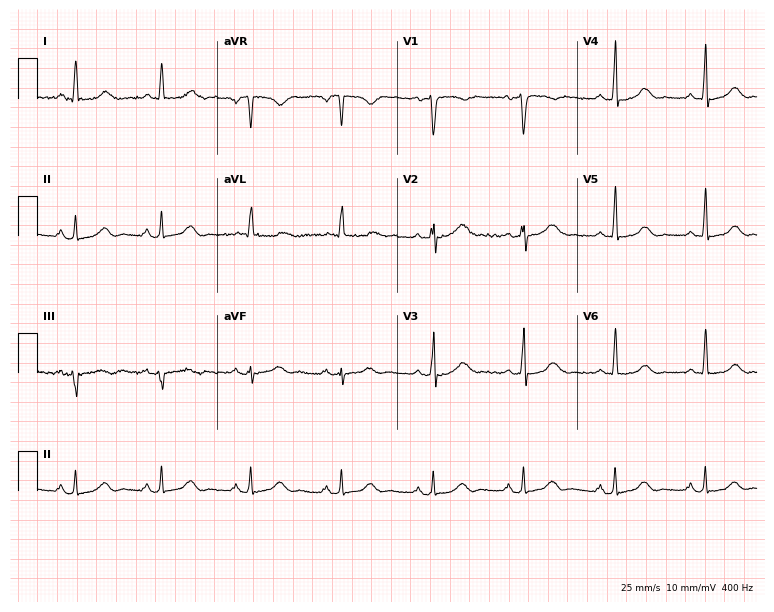
12-lead ECG from a female, 62 years old (7.3-second recording at 400 Hz). Recorded interpretation: within normal limits.